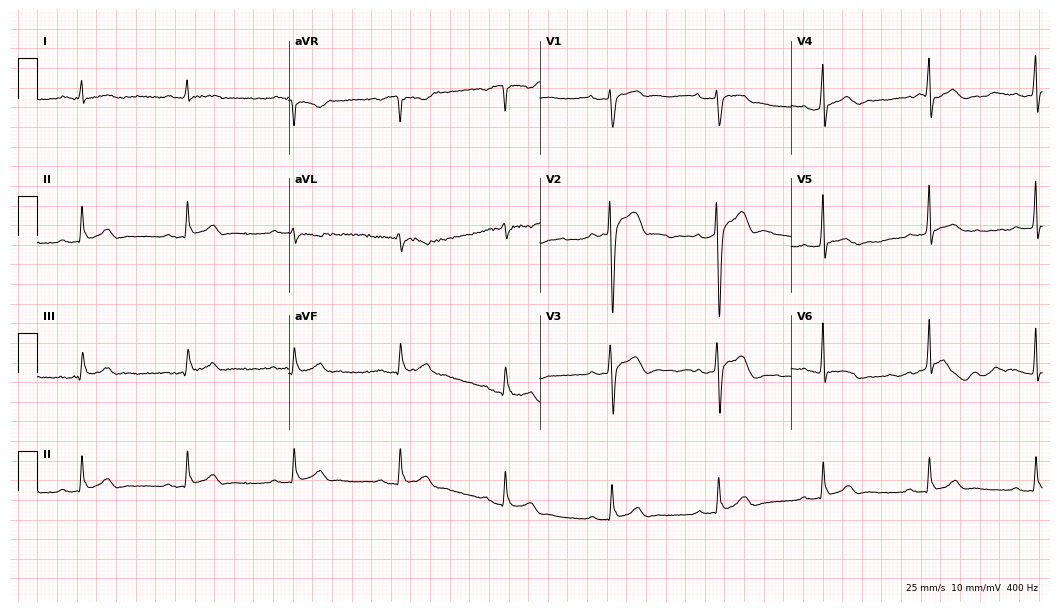
12-lead ECG from a 46-year-old man. No first-degree AV block, right bundle branch block, left bundle branch block, sinus bradycardia, atrial fibrillation or sinus tachycardia recorded for this tracing. Other findings, if any, are not listed.